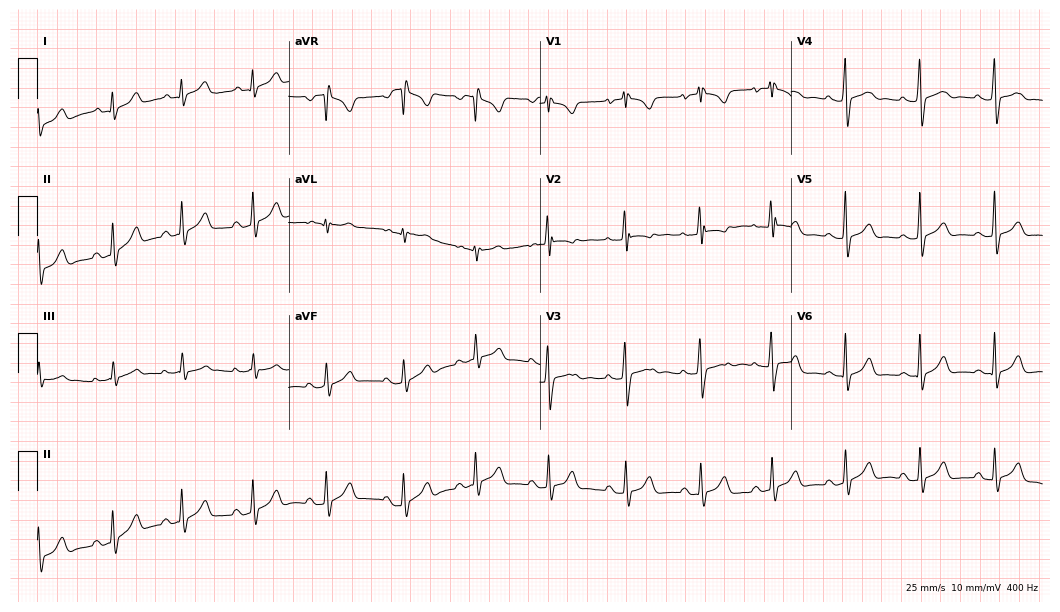
12-lead ECG from a woman, 17 years old (10.2-second recording at 400 Hz). Recorded interpretation: within normal limits.